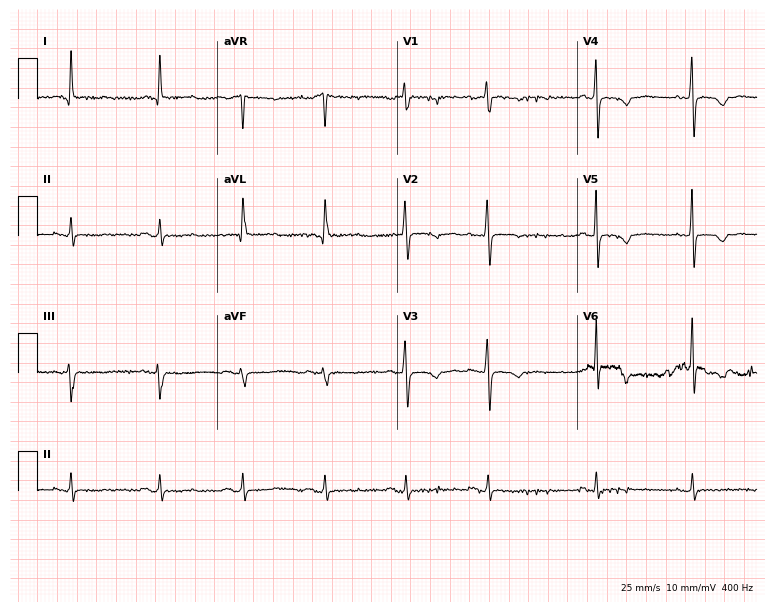
Electrocardiogram, a 74-year-old woman. Of the six screened findings (first-degree AV block, right bundle branch block, left bundle branch block, sinus bradycardia, atrial fibrillation, sinus tachycardia), none is recorded. Findings outside these six are not listed.